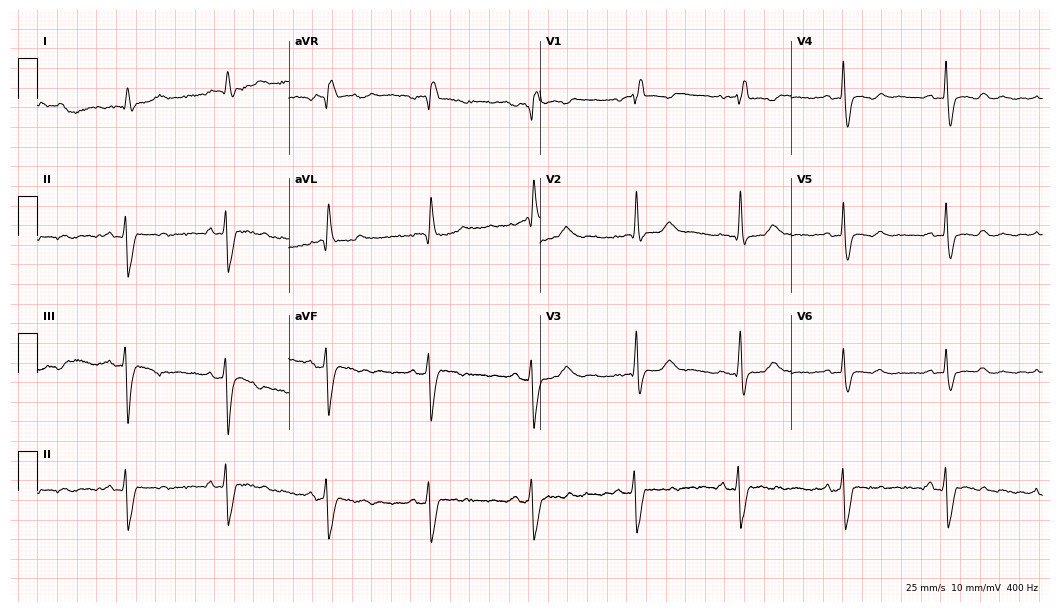
12-lead ECG from a 75-year-old woman. Screened for six findings — first-degree AV block, right bundle branch block, left bundle branch block, sinus bradycardia, atrial fibrillation, sinus tachycardia — none is recorded. Other findings, if any, are not listed.